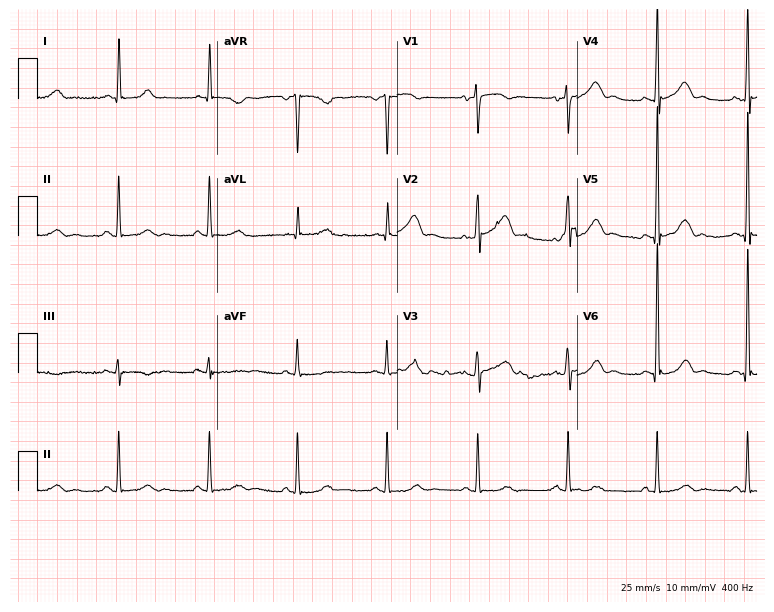
12-lead ECG from a female, 66 years old (7.3-second recording at 400 Hz). No first-degree AV block, right bundle branch block, left bundle branch block, sinus bradycardia, atrial fibrillation or sinus tachycardia recorded for this tracing. Only these six findings were labelled.